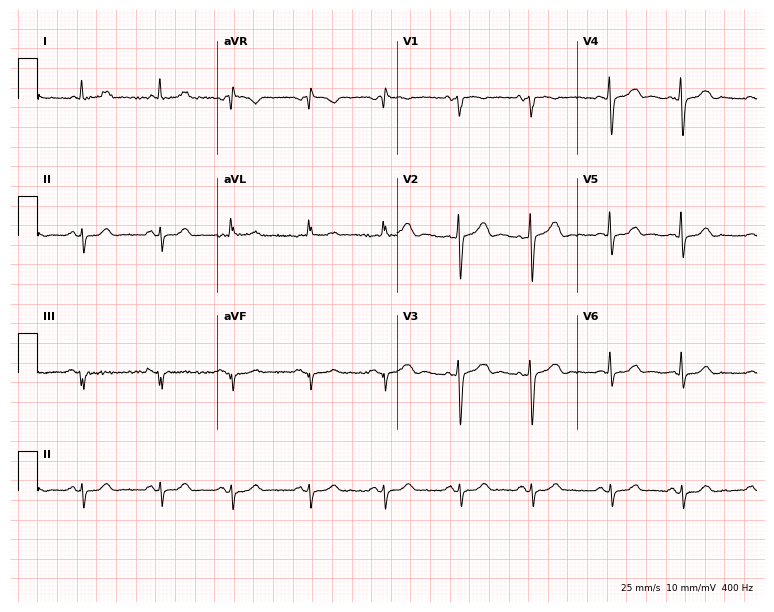
12-lead ECG from a female patient, 68 years old. No first-degree AV block, right bundle branch block (RBBB), left bundle branch block (LBBB), sinus bradycardia, atrial fibrillation (AF) or sinus tachycardia recorded for this tracing.